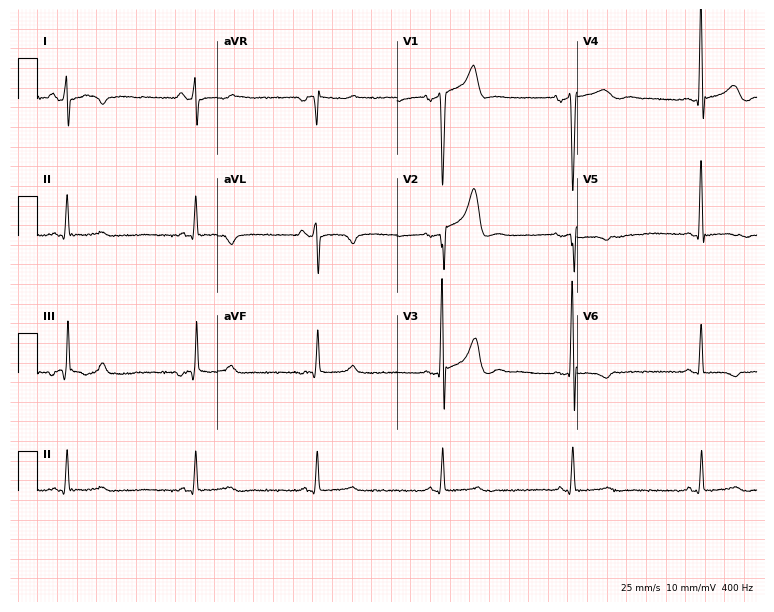
Electrocardiogram (7.3-second recording at 400 Hz), a man, 59 years old. Of the six screened findings (first-degree AV block, right bundle branch block, left bundle branch block, sinus bradycardia, atrial fibrillation, sinus tachycardia), none is recorded. Only these six findings were labelled.